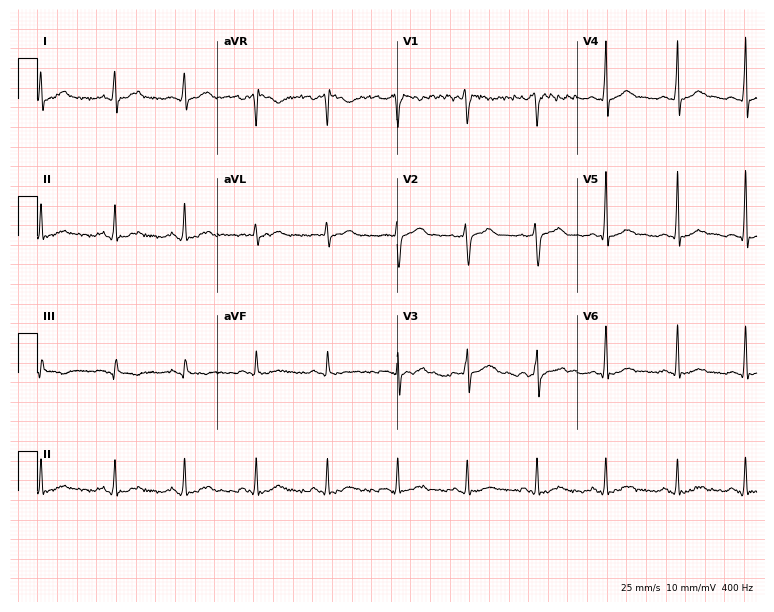
Standard 12-lead ECG recorded from a 48-year-old male patient. None of these six findings is recorded: first-degree AV block, right bundle branch block (RBBB), left bundle branch block (LBBB), sinus bradycardia, atrial fibrillation (AF), sinus tachycardia.